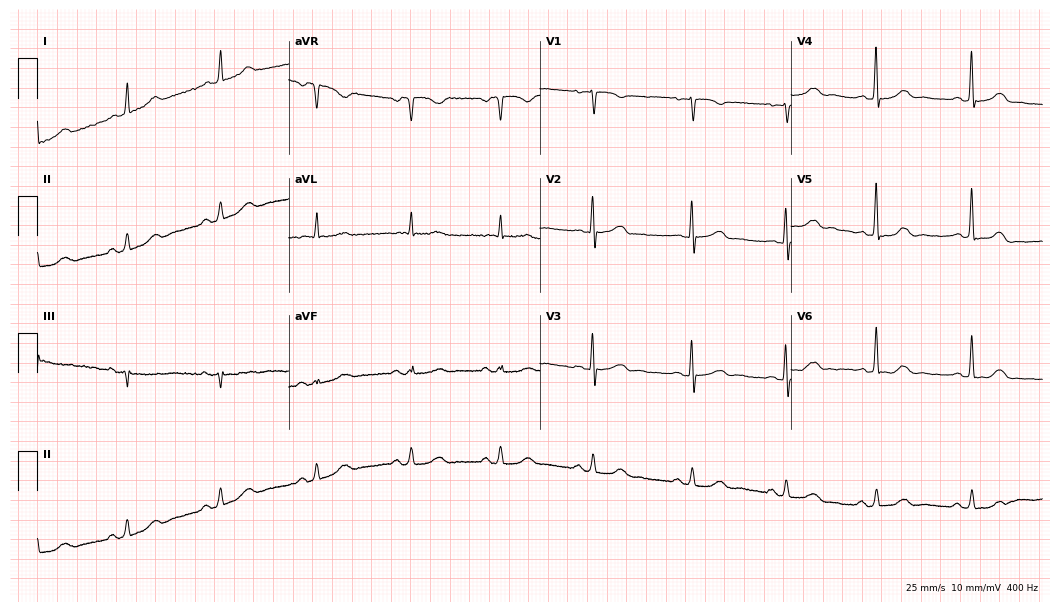
ECG — an 81-year-old female patient. Labelled as a normal ECG.